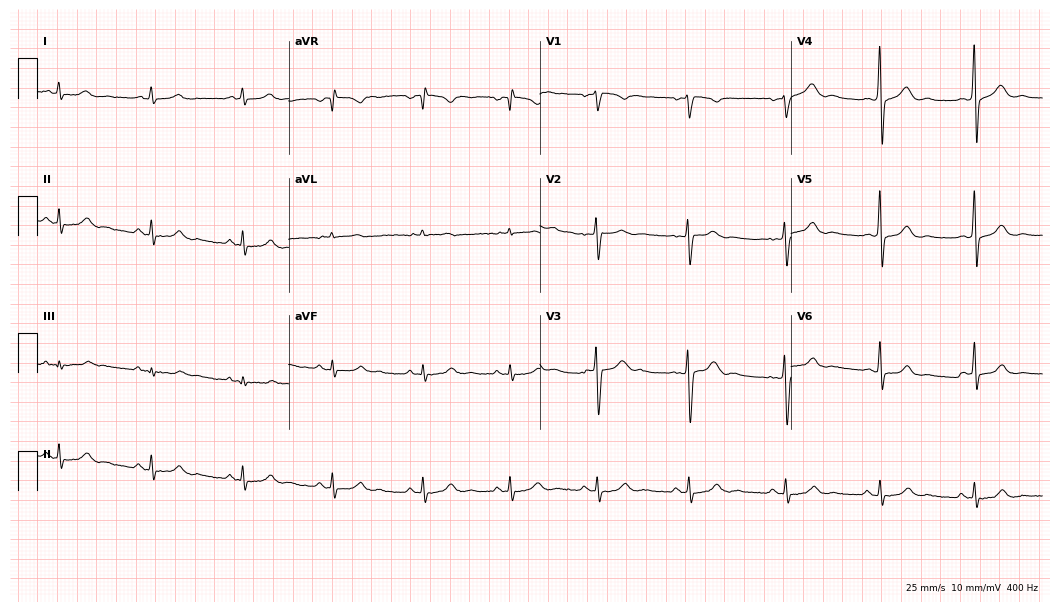
12-lead ECG from a 37-year-old male patient (10.2-second recording at 400 Hz). Recorded interpretation: within normal limits.